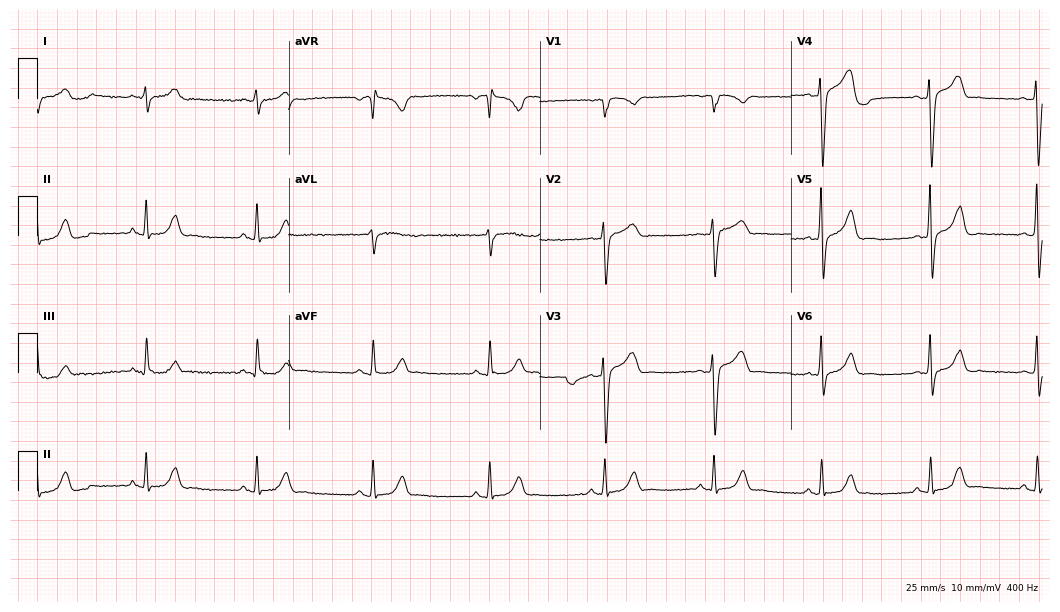
Electrocardiogram (10.2-second recording at 400 Hz), a 42-year-old male patient. Overall reading on record: normal ECG.